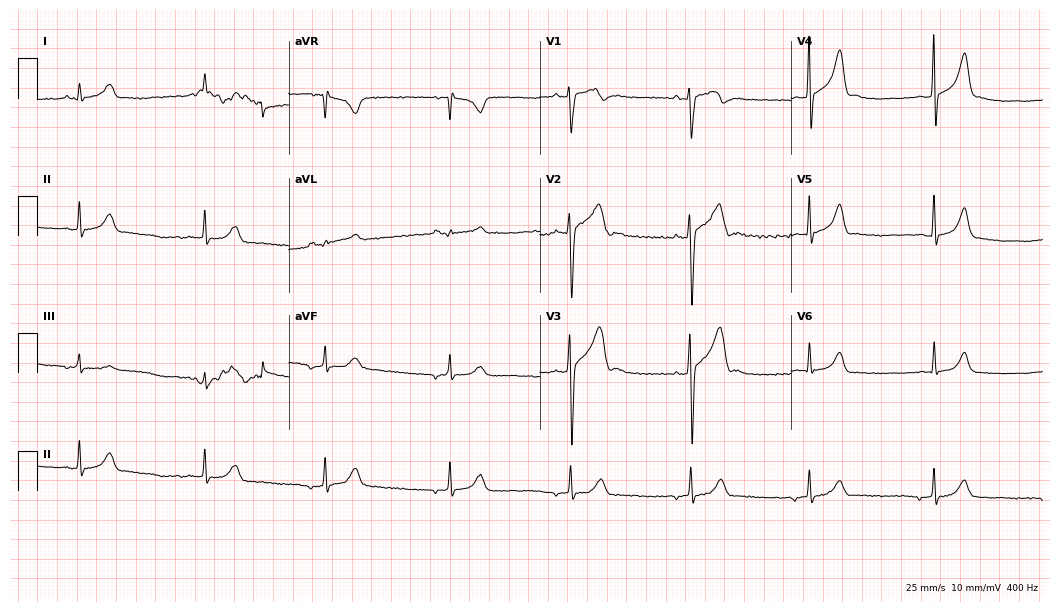
12-lead ECG from a male patient, 22 years old (10.2-second recording at 400 Hz). No first-degree AV block, right bundle branch block (RBBB), left bundle branch block (LBBB), sinus bradycardia, atrial fibrillation (AF) or sinus tachycardia recorded for this tracing.